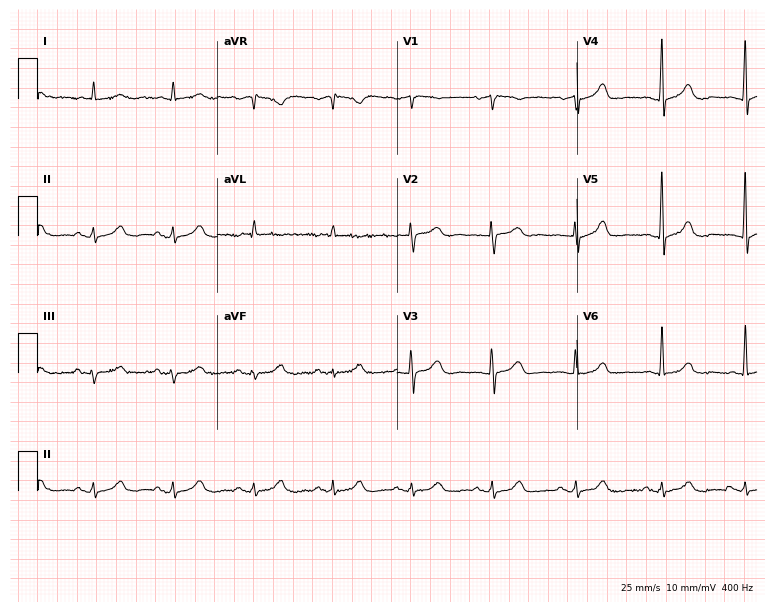
Electrocardiogram (7.3-second recording at 400 Hz), a male, 80 years old. Overall reading on record: normal ECG.